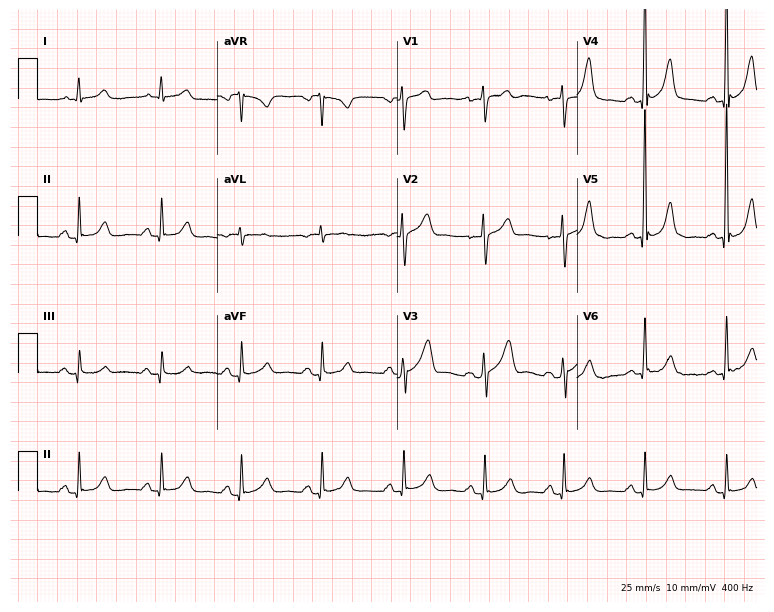
12-lead ECG (7.3-second recording at 400 Hz) from a 56-year-old woman. Labelled as a normal ECG.